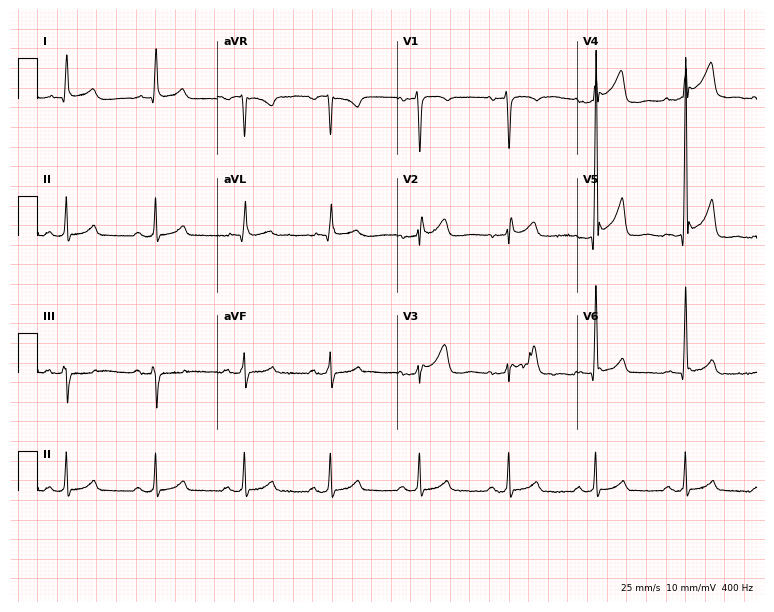
Resting 12-lead electrocardiogram. Patient: a 49-year-old man. None of these six findings is recorded: first-degree AV block, right bundle branch block, left bundle branch block, sinus bradycardia, atrial fibrillation, sinus tachycardia.